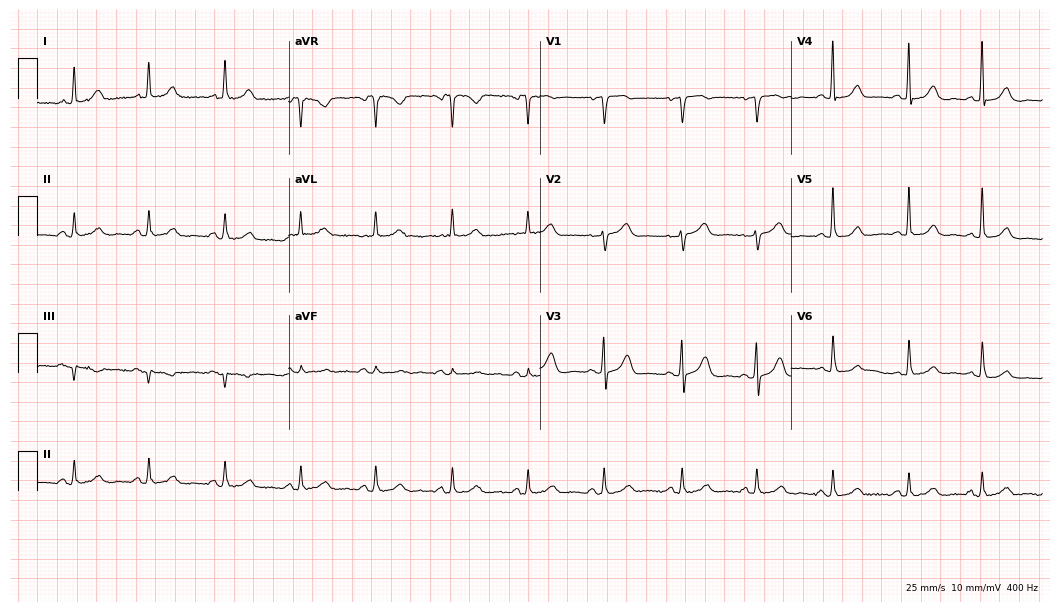
ECG (10.2-second recording at 400 Hz) — a 77-year-old female patient. Labelled as a normal ECG.